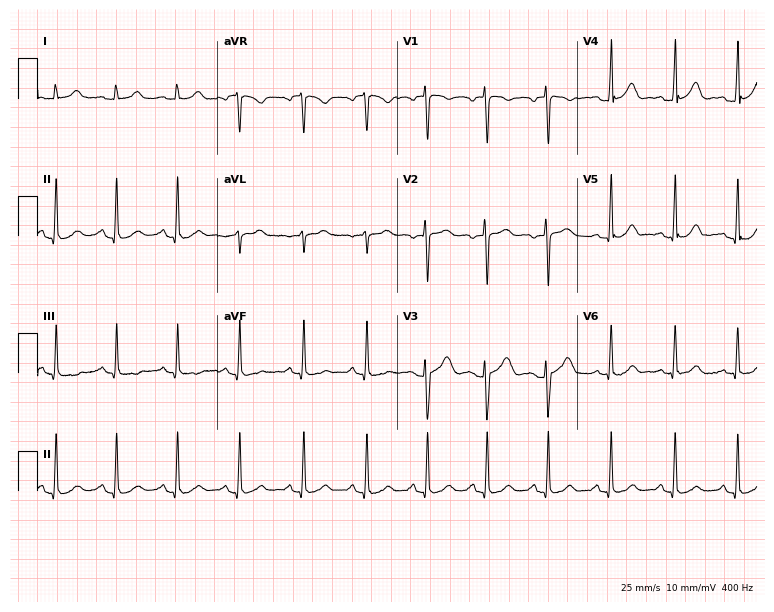
ECG (7.3-second recording at 400 Hz) — a 26-year-old woman. Screened for six findings — first-degree AV block, right bundle branch block (RBBB), left bundle branch block (LBBB), sinus bradycardia, atrial fibrillation (AF), sinus tachycardia — none is recorded.